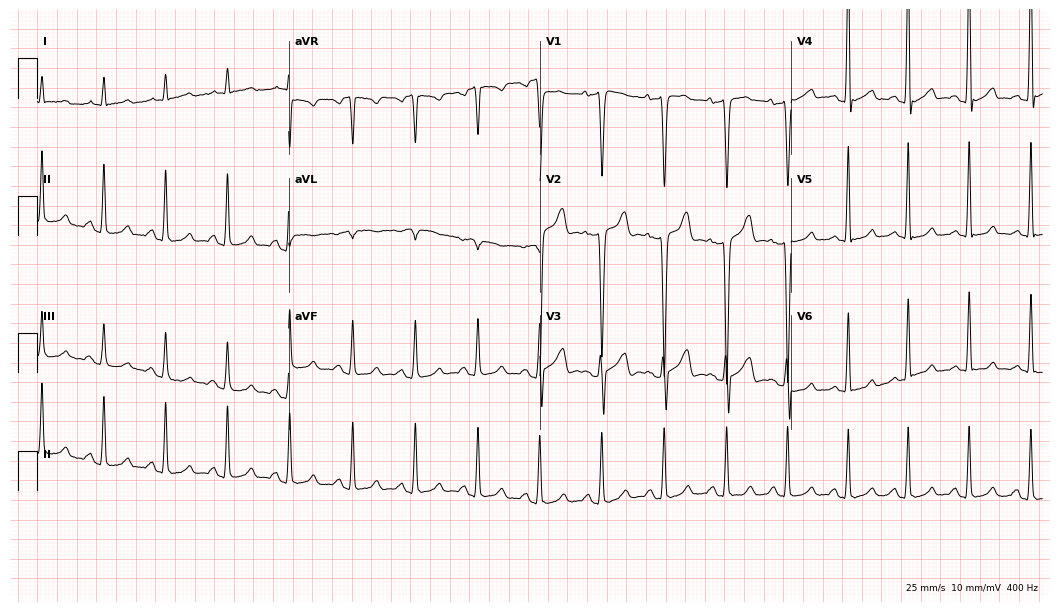
12-lead ECG from a 47-year-old male (10.2-second recording at 400 Hz). No first-degree AV block, right bundle branch block (RBBB), left bundle branch block (LBBB), sinus bradycardia, atrial fibrillation (AF) or sinus tachycardia recorded for this tracing. Only these six findings were labelled.